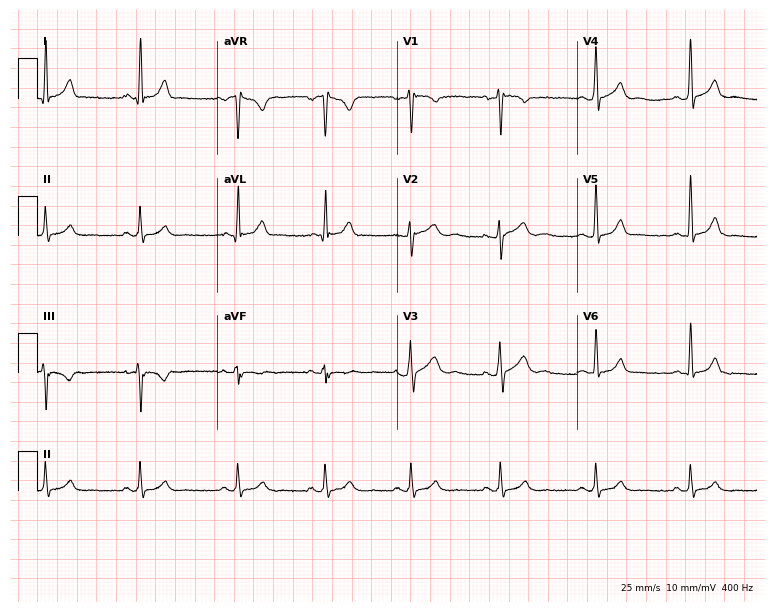
12-lead ECG (7.3-second recording at 400 Hz) from a male patient, 36 years old. Screened for six findings — first-degree AV block, right bundle branch block, left bundle branch block, sinus bradycardia, atrial fibrillation, sinus tachycardia — none is recorded.